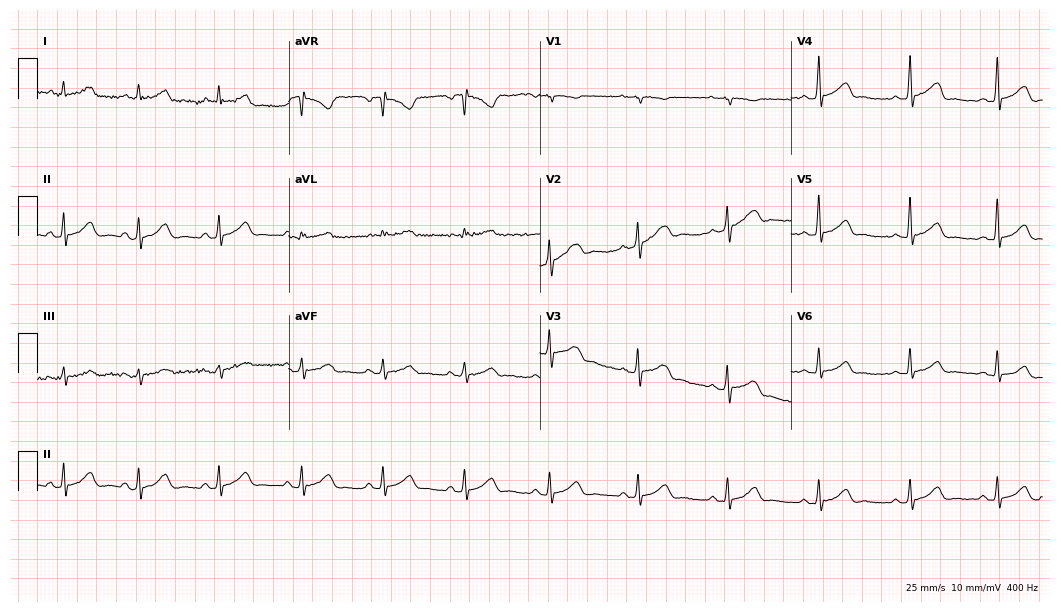
12-lead ECG from a 44-year-old female patient (10.2-second recording at 400 Hz). No first-degree AV block, right bundle branch block, left bundle branch block, sinus bradycardia, atrial fibrillation or sinus tachycardia recorded for this tracing.